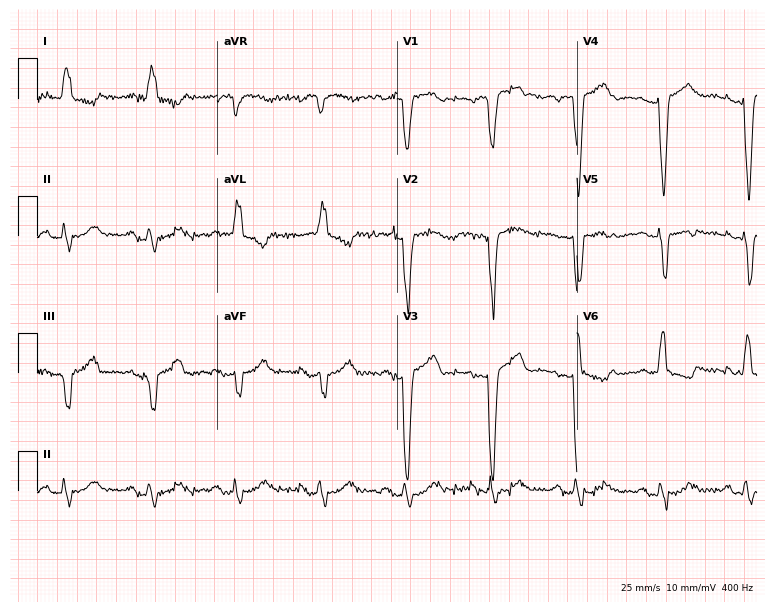
12-lead ECG from an 86-year-old female patient. Findings include left bundle branch block.